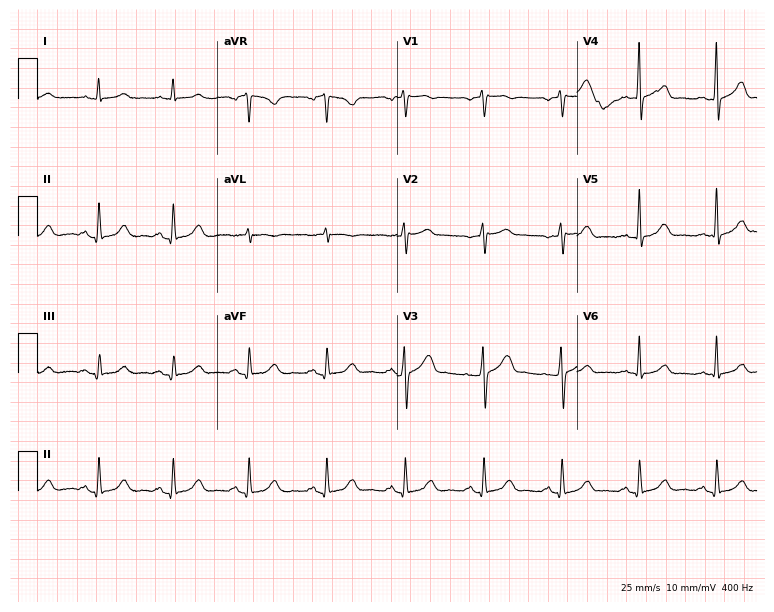
12-lead ECG from a male, 56 years old. Labelled as a normal ECG.